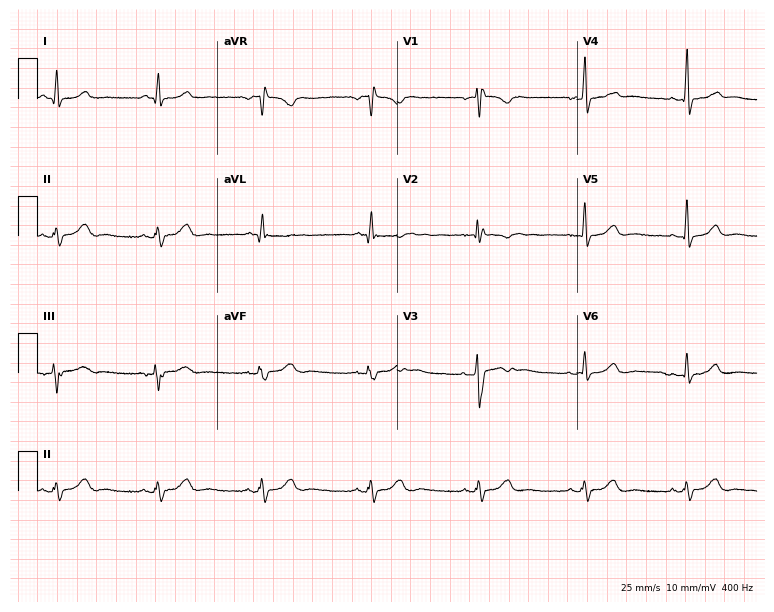
ECG — a 37-year-old female patient. Screened for six findings — first-degree AV block, right bundle branch block, left bundle branch block, sinus bradycardia, atrial fibrillation, sinus tachycardia — none is recorded.